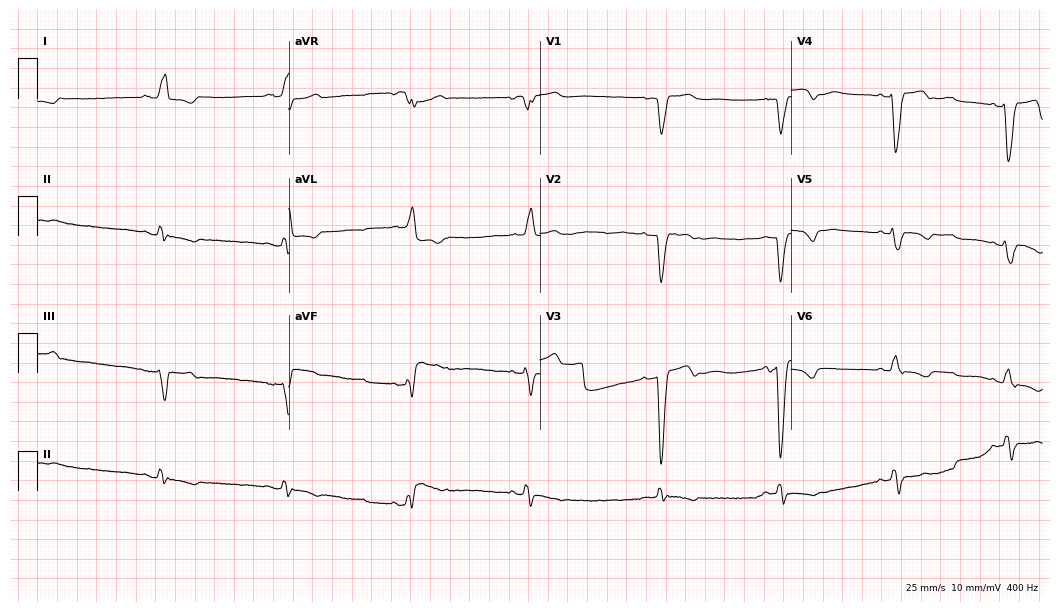
ECG (10.2-second recording at 400 Hz) — a 51-year-old female. Screened for six findings — first-degree AV block, right bundle branch block, left bundle branch block, sinus bradycardia, atrial fibrillation, sinus tachycardia — none is recorded.